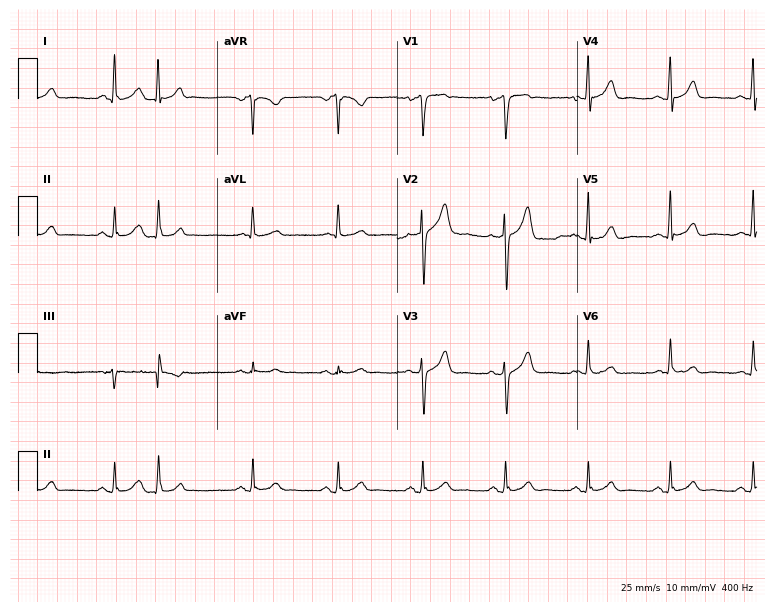
Standard 12-lead ECG recorded from a 70-year-old male. None of these six findings is recorded: first-degree AV block, right bundle branch block, left bundle branch block, sinus bradycardia, atrial fibrillation, sinus tachycardia. Findings outside these six are not listed.